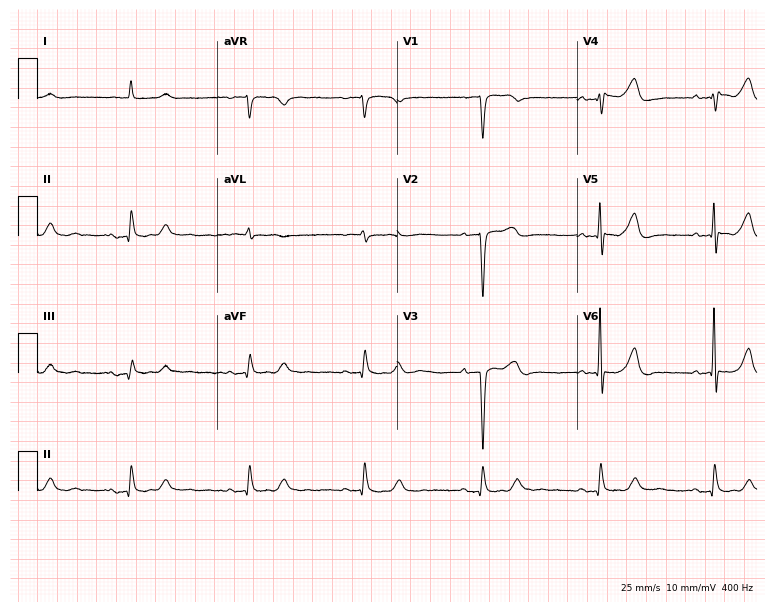
12-lead ECG from an 84-year-old male patient (7.3-second recording at 400 Hz). Recorded interpretation: within normal limits.